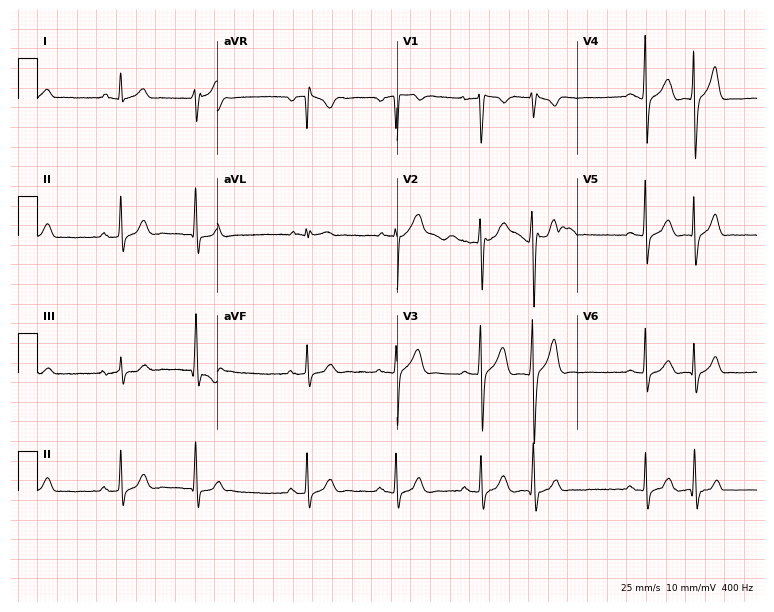
12-lead ECG from a man, 26 years old. Recorded interpretation: within normal limits.